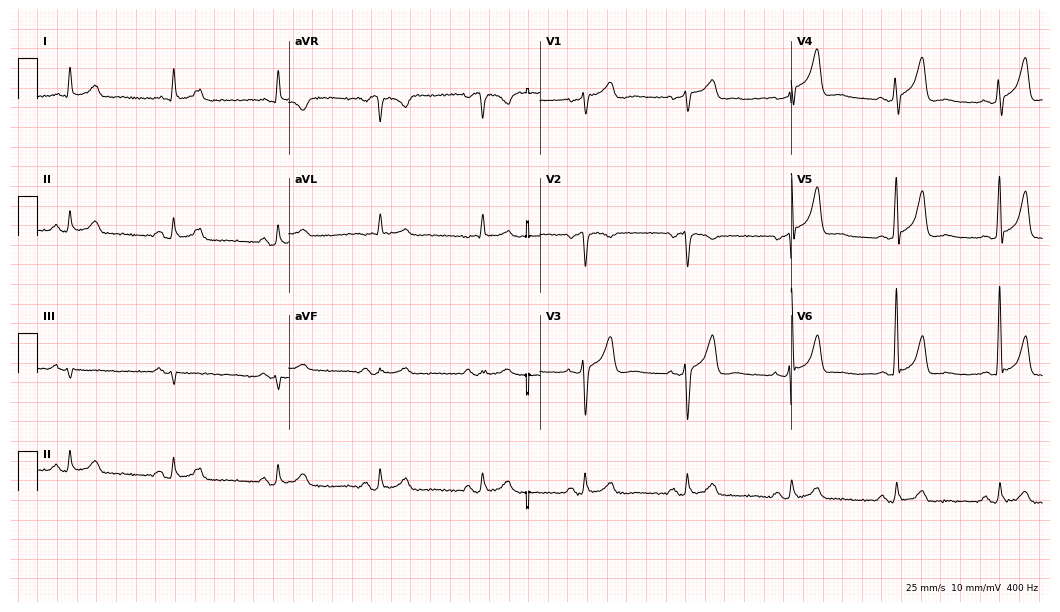
Electrocardiogram (10.2-second recording at 400 Hz), a male patient, 69 years old. Overall reading on record: normal ECG.